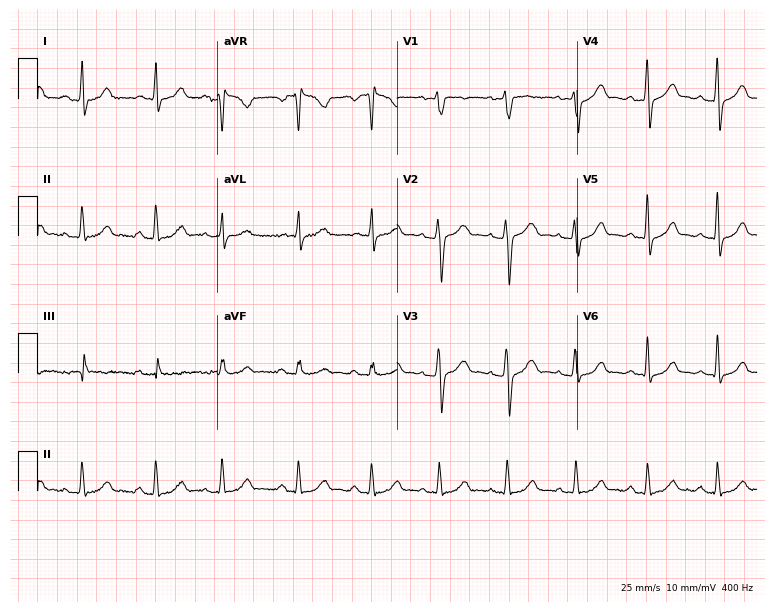
Electrocardiogram, a female patient, 30 years old. Overall reading on record: normal ECG.